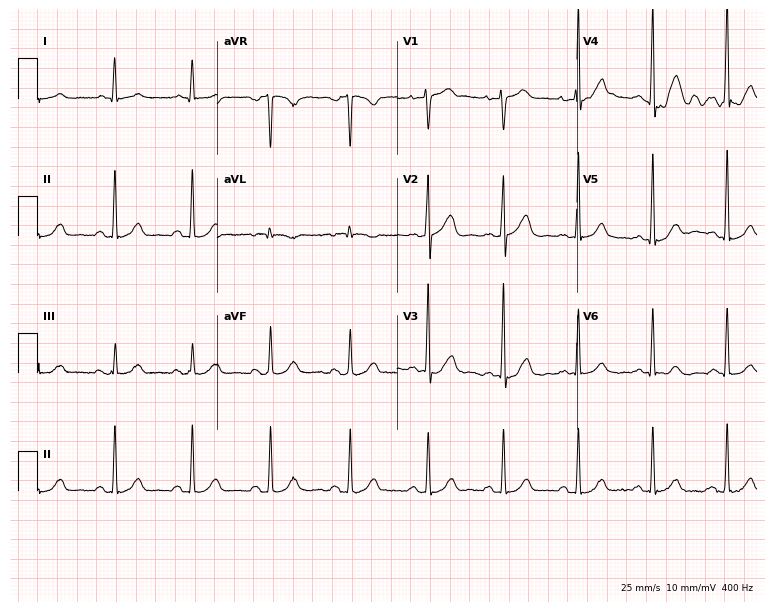
Standard 12-lead ECG recorded from a 36-year-old male (7.3-second recording at 400 Hz). Read as a normal ECG.